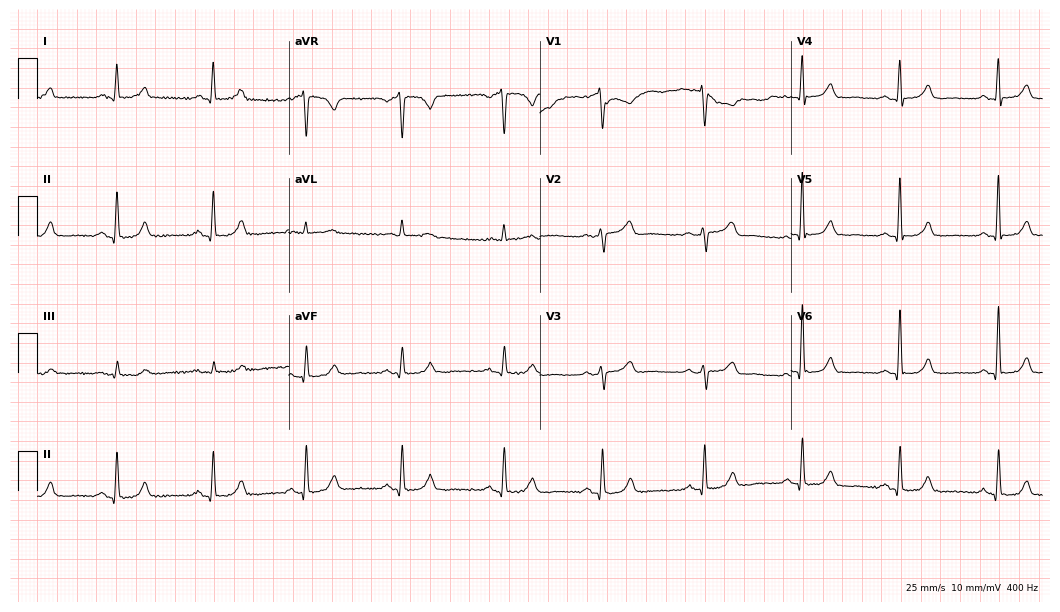
12-lead ECG from a female, 65 years old (10.2-second recording at 400 Hz). No first-degree AV block, right bundle branch block (RBBB), left bundle branch block (LBBB), sinus bradycardia, atrial fibrillation (AF) or sinus tachycardia recorded for this tracing. Other findings, if any, are not listed.